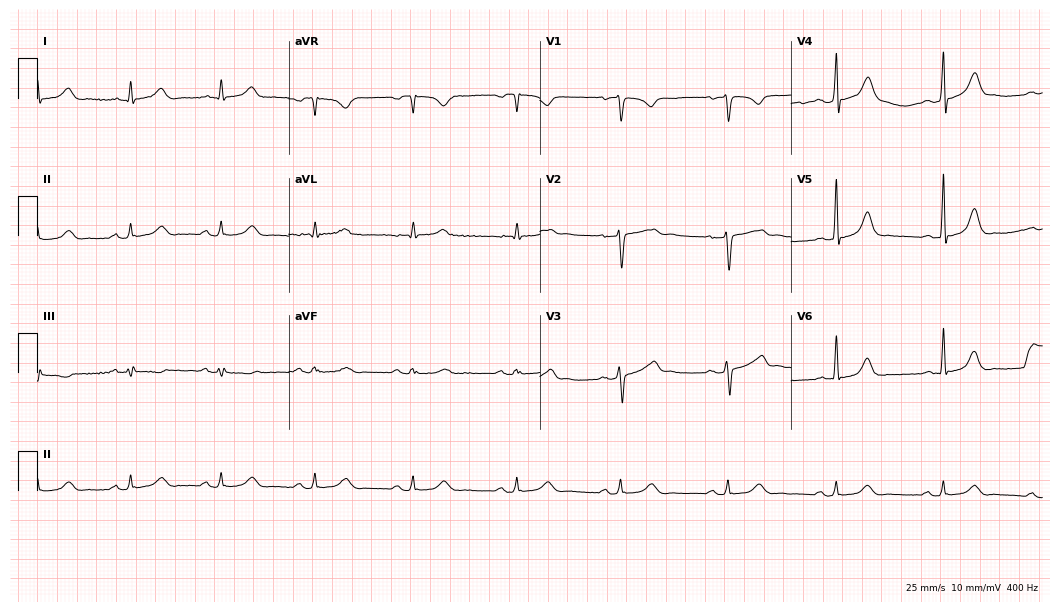
Resting 12-lead electrocardiogram. Patient: a male, 49 years old. None of these six findings is recorded: first-degree AV block, right bundle branch block, left bundle branch block, sinus bradycardia, atrial fibrillation, sinus tachycardia. Other findings, if any, are not listed.